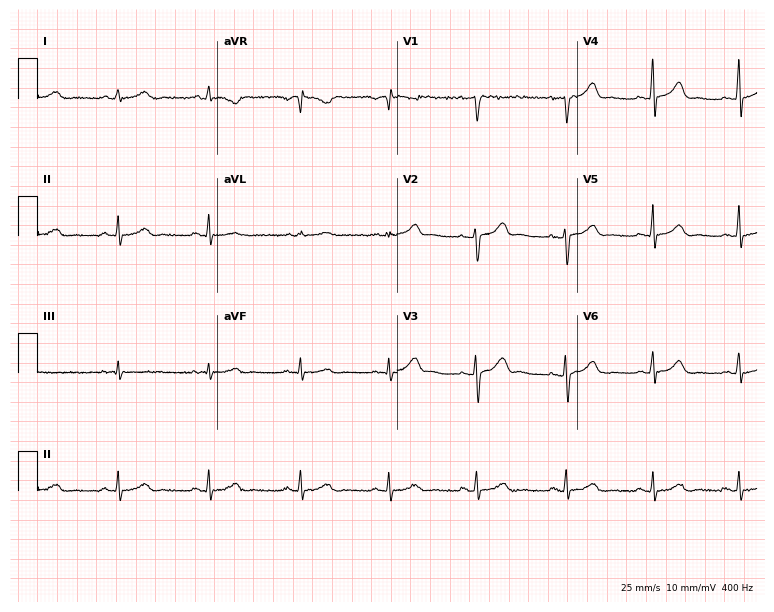
Electrocardiogram (7.3-second recording at 400 Hz), a 30-year-old female. Of the six screened findings (first-degree AV block, right bundle branch block (RBBB), left bundle branch block (LBBB), sinus bradycardia, atrial fibrillation (AF), sinus tachycardia), none is recorded.